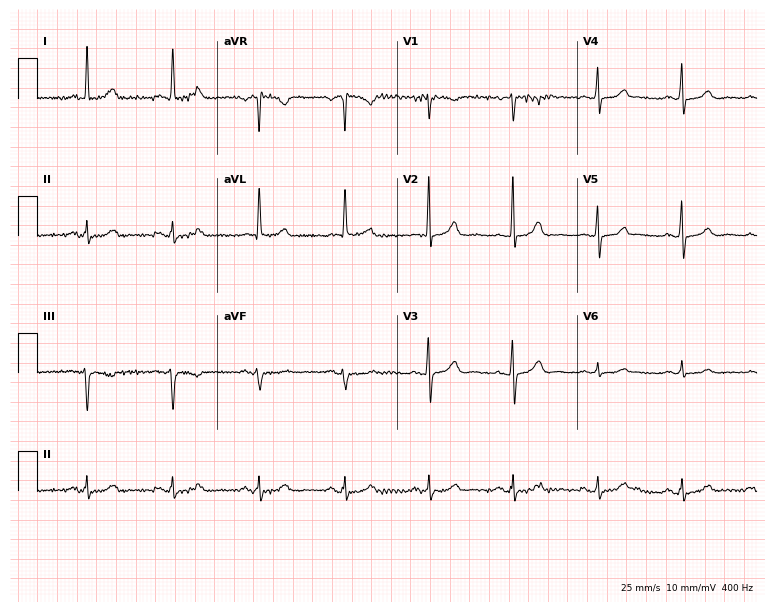
Electrocardiogram (7.3-second recording at 400 Hz), a female, 72 years old. Overall reading on record: normal ECG.